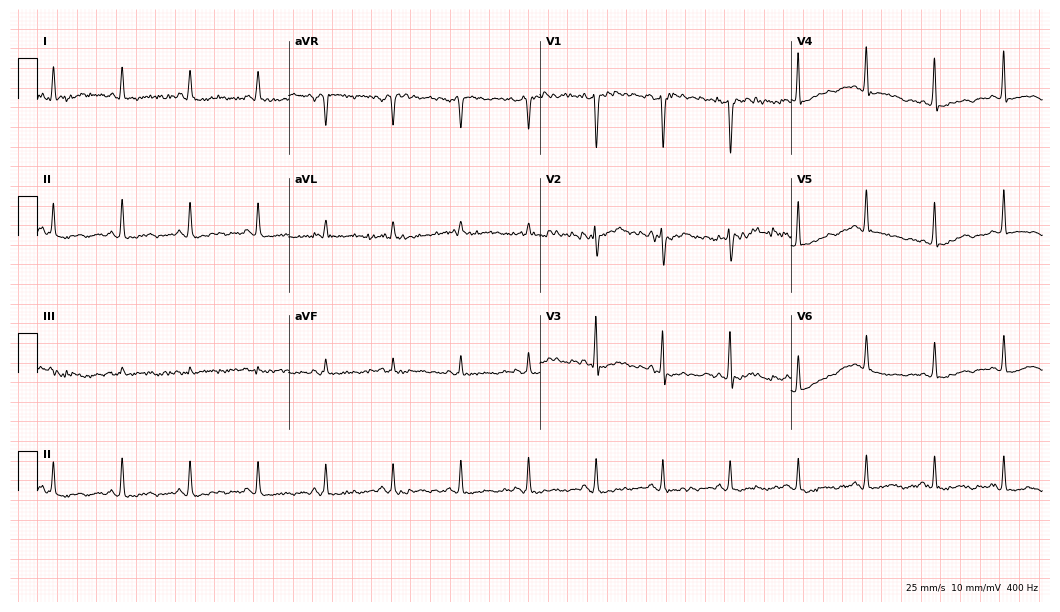
12-lead ECG from a 67-year-old female. No first-degree AV block, right bundle branch block (RBBB), left bundle branch block (LBBB), sinus bradycardia, atrial fibrillation (AF) or sinus tachycardia recorded for this tracing.